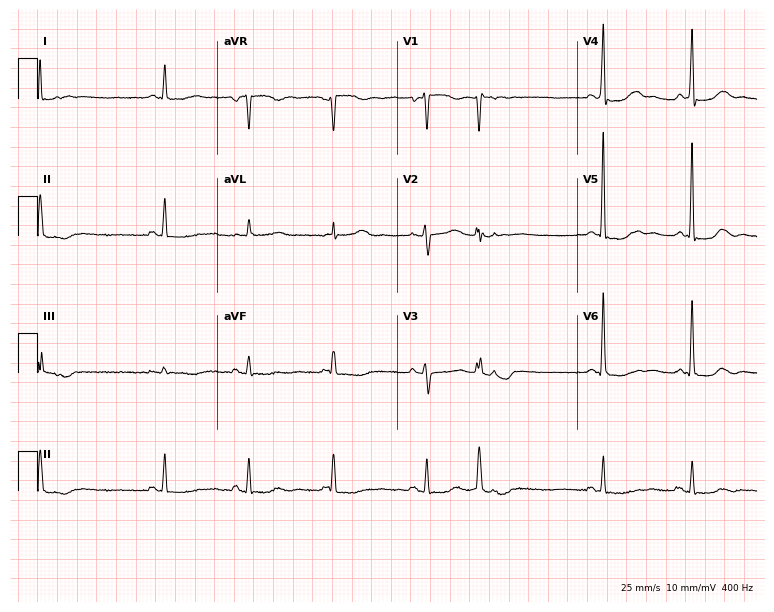
ECG (7.3-second recording at 400 Hz) — a female, 58 years old. Screened for six findings — first-degree AV block, right bundle branch block, left bundle branch block, sinus bradycardia, atrial fibrillation, sinus tachycardia — none is recorded.